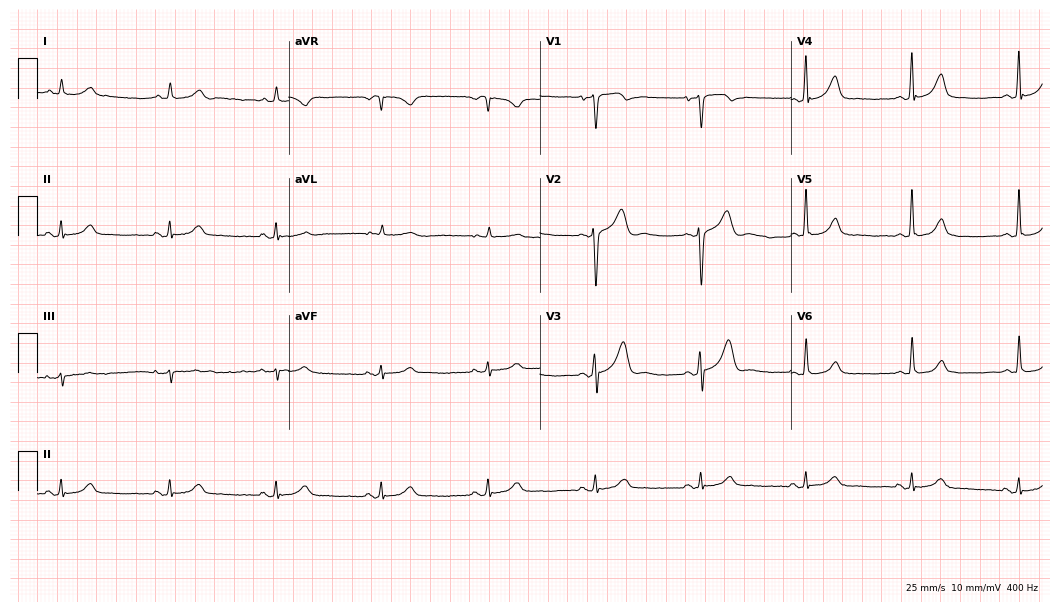
Resting 12-lead electrocardiogram. Patient: a 56-year-old male. Read as a normal ECG.